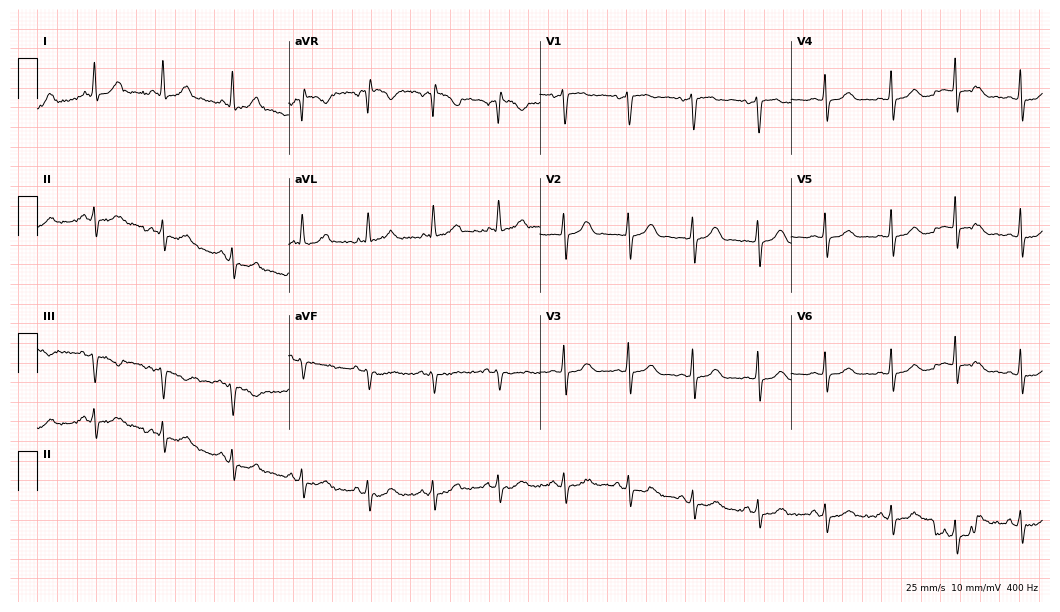
Standard 12-lead ECG recorded from a female, 38 years old. None of these six findings is recorded: first-degree AV block, right bundle branch block, left bundle branch block, sinus bradycardia, atrial fibrillation, sinus tachycardia.